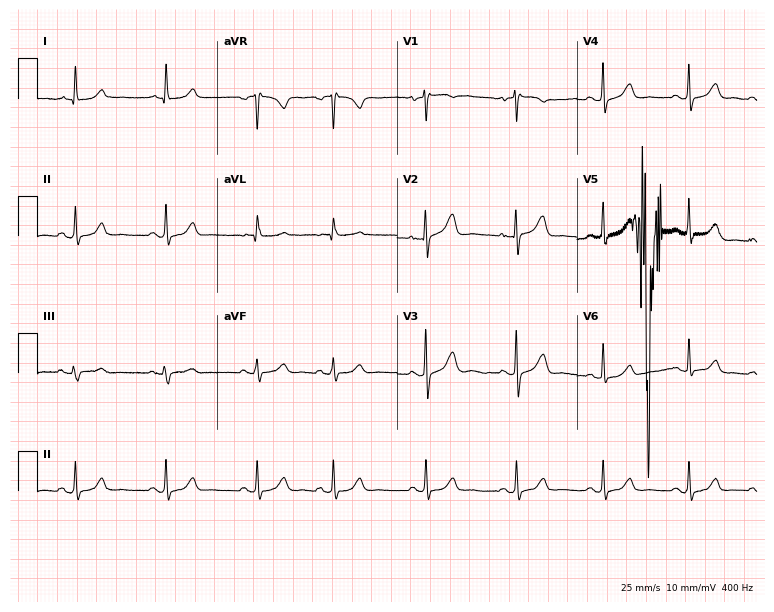
ECG (7.3-second recording at 400 Hz) — a 75-year-old woman. Labelled as a normal ECG.